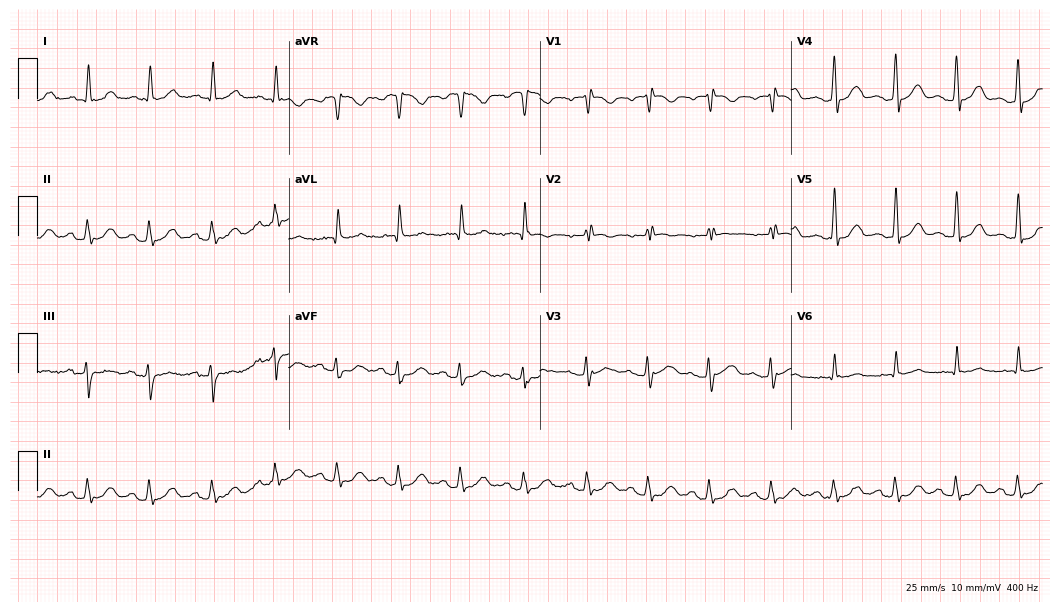
12-lead ECG from an 82-year-old male patient (10.2-second recording at 400 Hz). No first-degree AV block, right bundle branch block, left bundle branch block, sinus bradycardia, atrial fibrillation or sinus tachycardia recorded for this tracing.